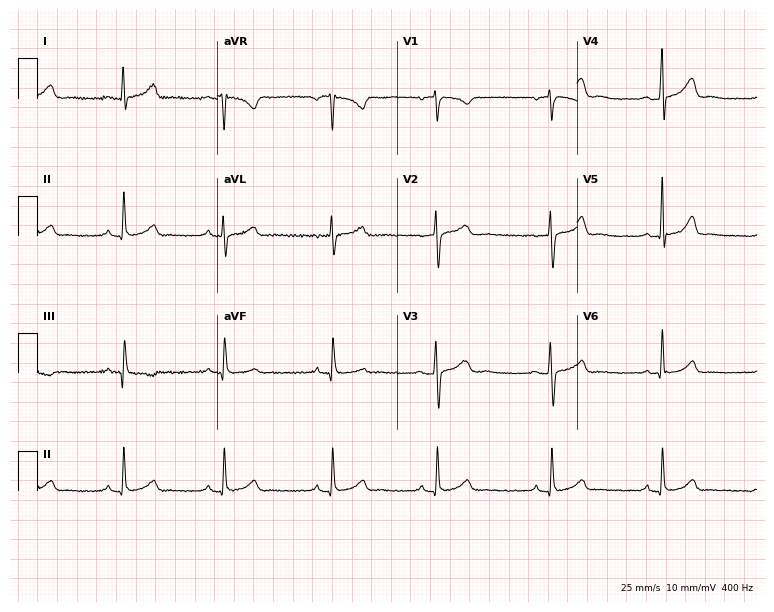
12-lead ECG from a 23-year-old woman. No first-degree AV block, right bundle branch block, left bundle branch block, sinus bradycardia, atrial fibrillation or sinus tachycardia recorded for this tracing.